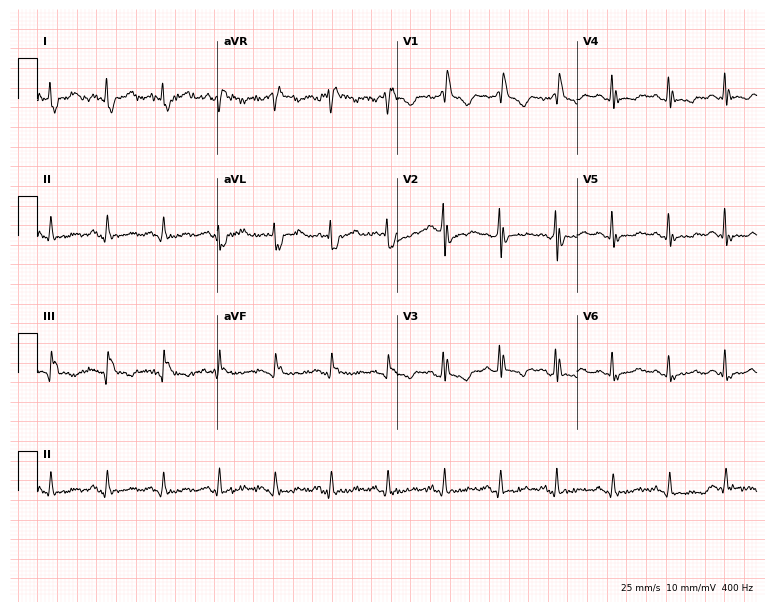
ECG (7.3-second recording at 400 Hz) — a 62-year-old male. Findings include right bundle branch block, sinus tachycardia (a sinus rate of 100 beats per minute or more).